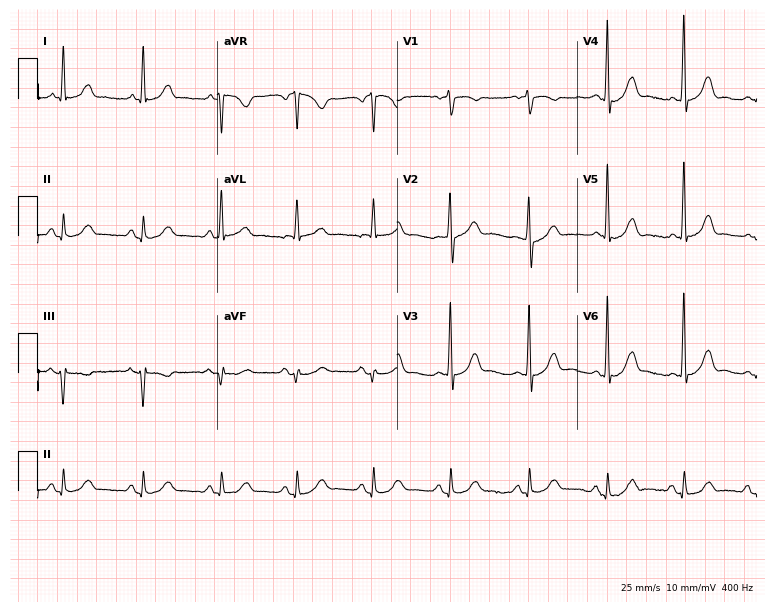
Electrocardiogram, a 70-year-old female patient. Overall reading on record: normal ECG.